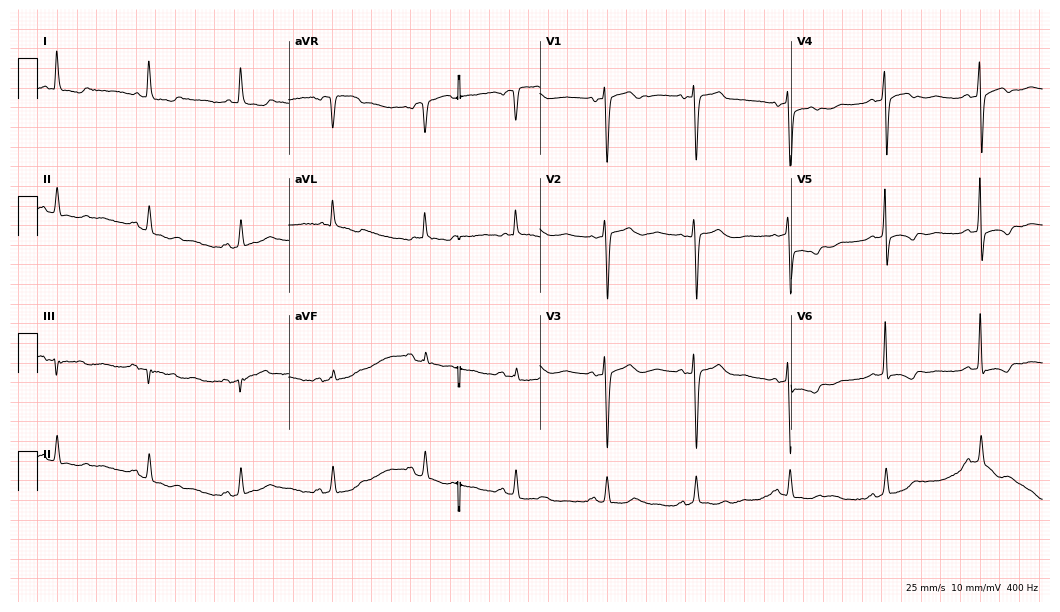
ECG (10.2-second recording at 400 Hz) — an 86-year-old woman. Screened for six findings — first-degree AV block, right bundle branch block (RBBB), left bundle branch block (LBBB), sinus bradycardia, atrial fibrillation (AF), sinus tachycardia — none is recorded.